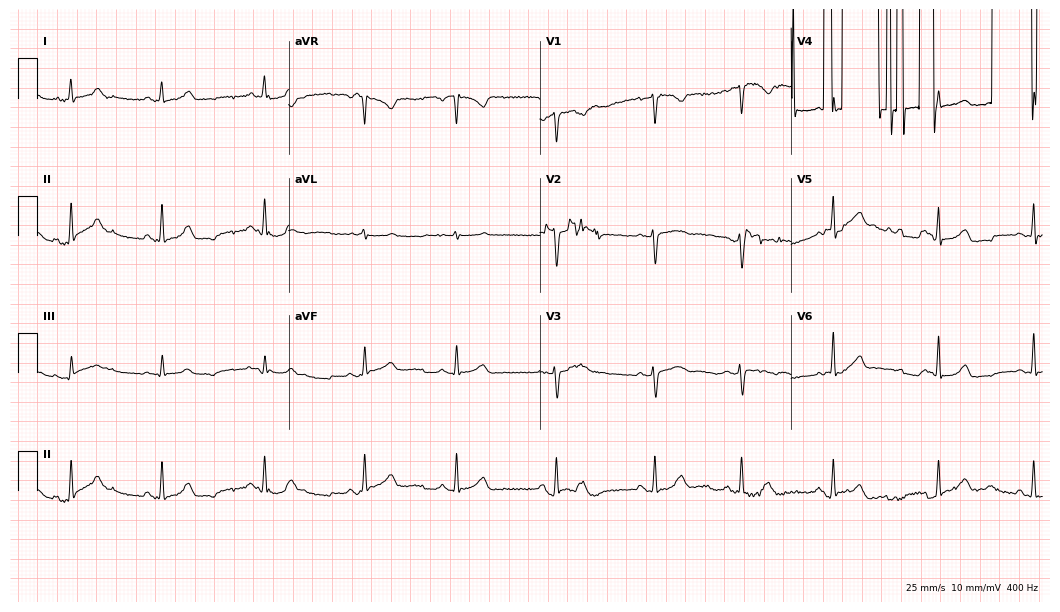
Electrocardiogram, a female patient, 18 years old. Of the six screened findings (first-degree AV block, right bundle branch block, left bundle branch block, sinus bradycardia, atrial fibrillation, sinus tachycardia), none is recorded. Only these six findings were labelled.